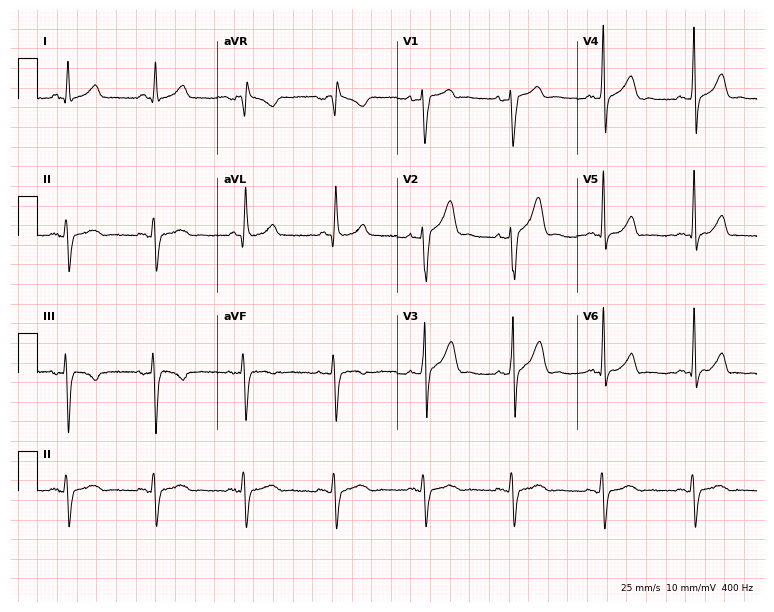
12-lead ECG from a 53-year-old man. No first-degree AV block, right bundle branch block (RBBB), left bundle branch block (LBBB), sinus bradycardia, atrial fibrillation (AF) or sinus tachycardia recorded for this tracing. Findings outside these six are not listed.